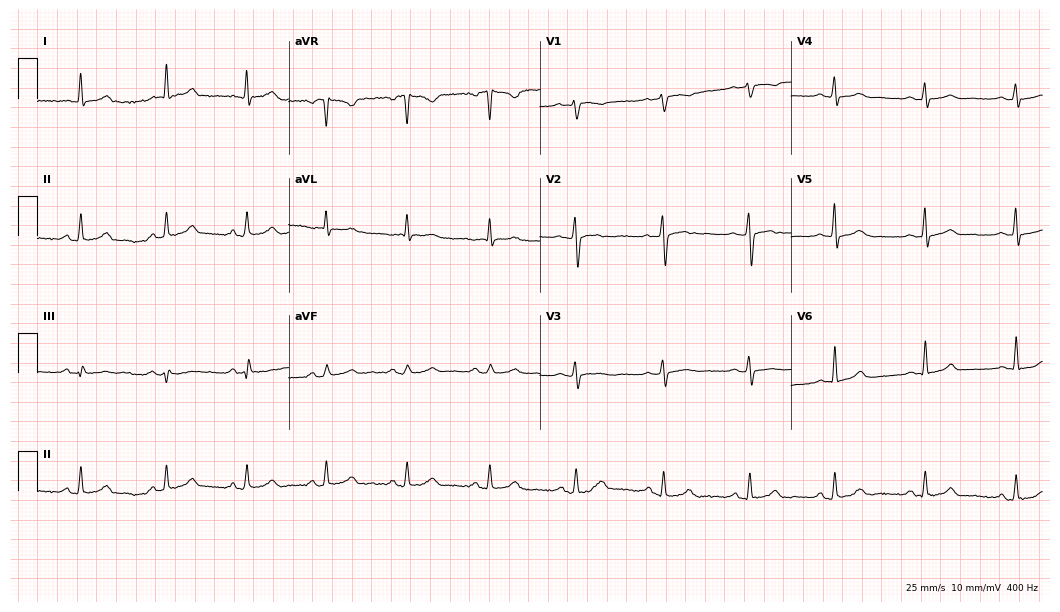
Resting 12-lead electrocardiogram. Patient: a female, 39 years old. None of these six findings is recorded: first-degree AV block, right bundle branch block, left bundle branch block, sinus bradycardia, atrial fibrillation, sinus tachycardia. Only these six findings were labelled.